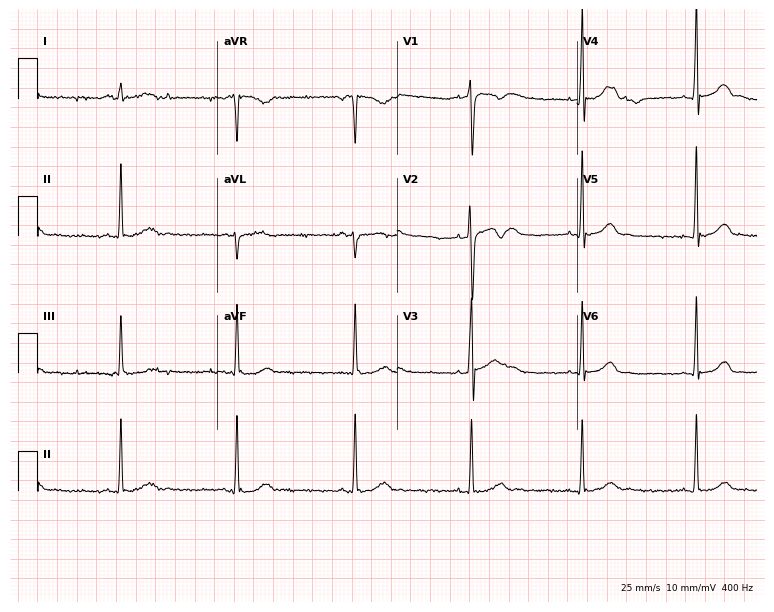
12-lead ECG from a 19-year-old man. Labelled as a normal ECG.